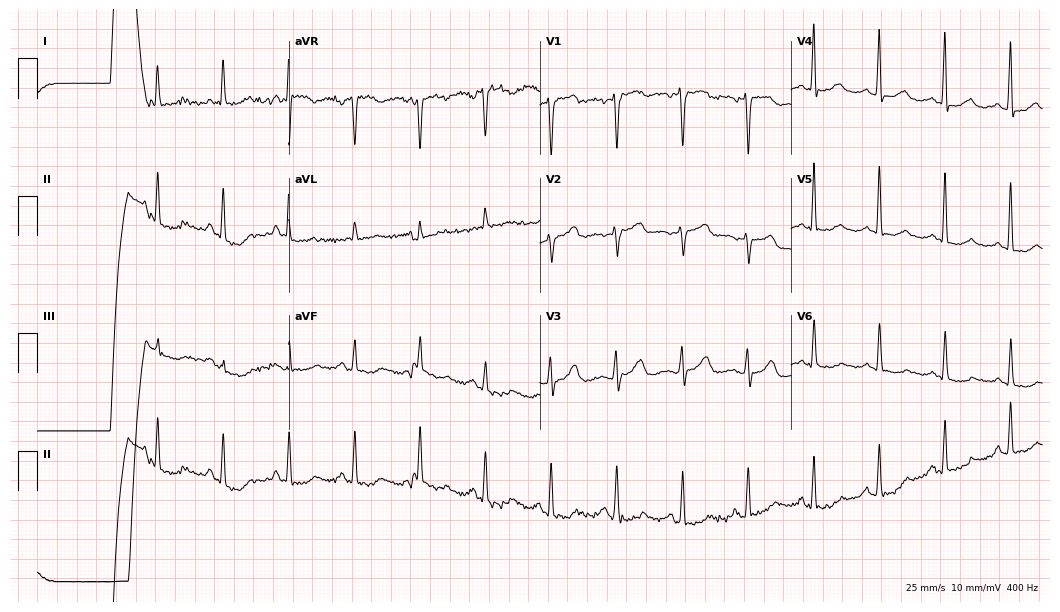
ECG — a female patient, 61 years old. Screened for six findings — first-degree AV block, right bundle branch block, left bundle branch block, sinus bradycardia, atrial fibrillation, sinus tachycardia — none is recorded. Only these six findings were labelled.